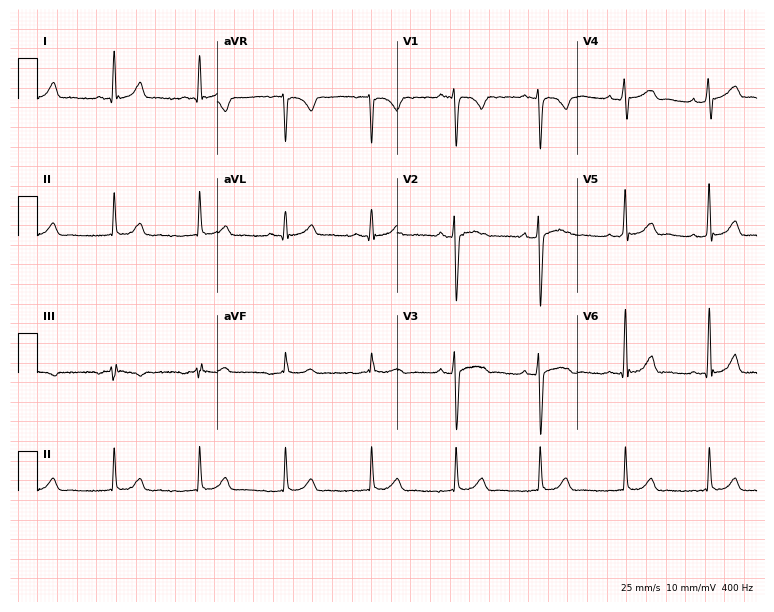
Resting 12-lead electrocardiogram. Patient: a man, 27 years old. Read as a normal ECG.